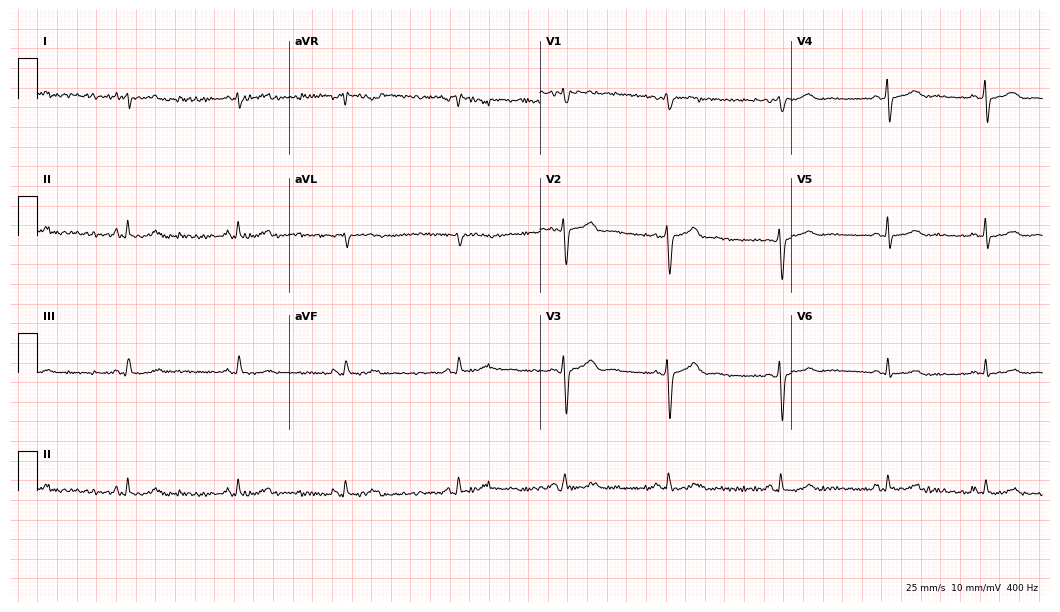
Electrocardiogram, a woman, 42 years old. Overall reading on record: normal ECG.